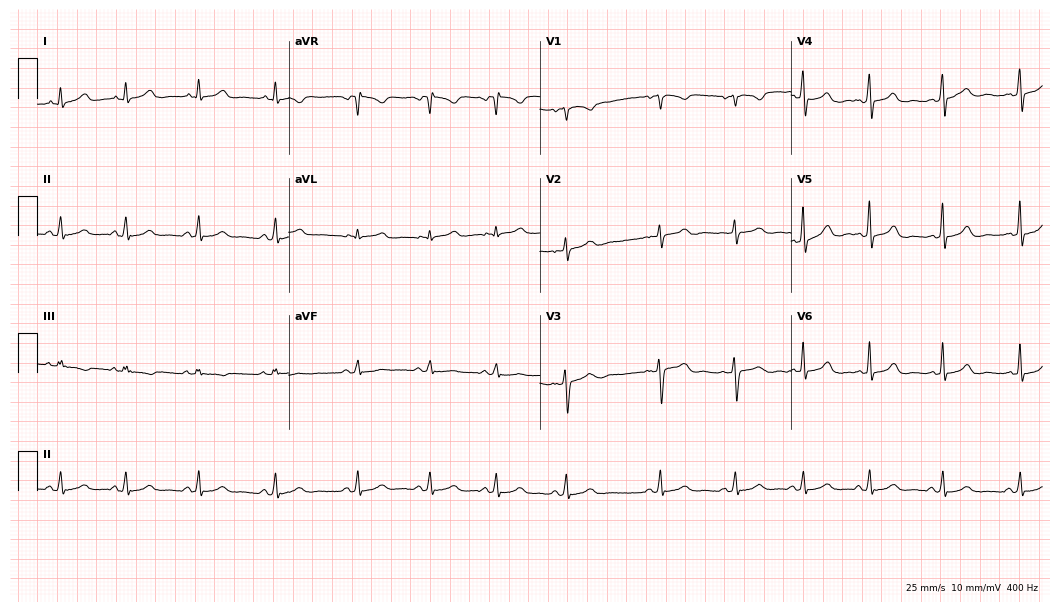
Resting 12-lead electrocardiogram. Patient: a 21-year-old female. None of these six findings is recorded: first-degree AV block, right bundle branch block (RBBB), left bundle branch block (LBBB), sinus bradycardia, atrial fibrillation (AF), sinus tachycardia.